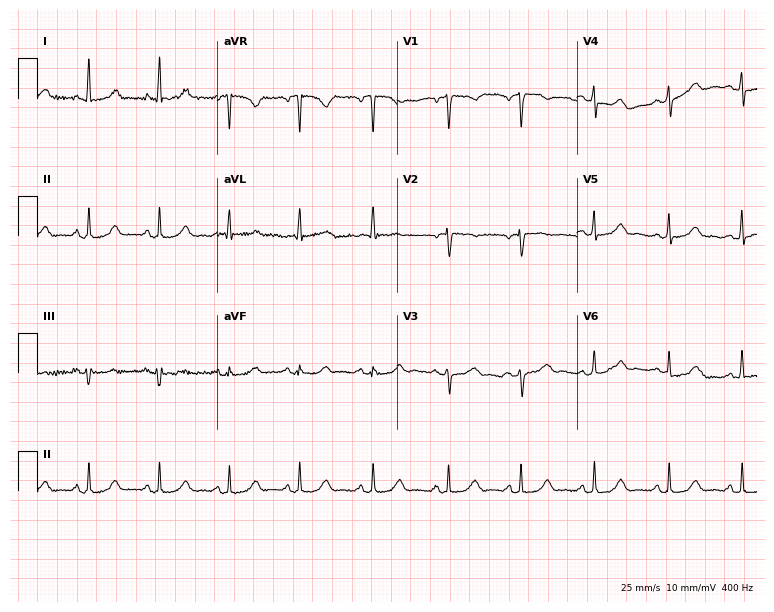
Resting 12-lead electrocardiogram. Patient: a woman, 53 years old. None of these six findings is recorded: first-degree AV block, right bundle branch block, left bundle branch block, sinus bradycardia, atrial fibrillation, sinus tachycardia. Only these six findings were labelled.